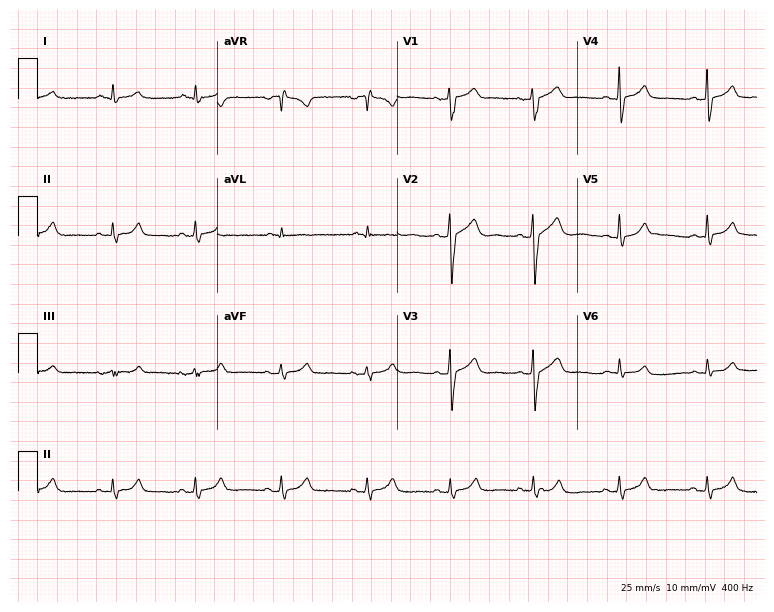
12-lead ECG from a male patient, 62 years old. Recorded interpretation: within normal limits.